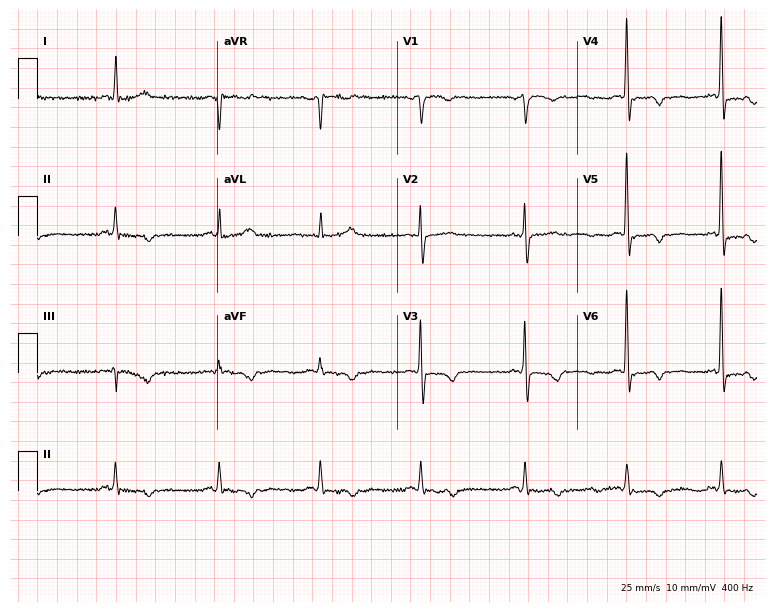
ECG — a woman, 63 years old. Screened for six findings — first-degree AV block, right bundle branch block (RBBB), left bundle branch block (LBBB), sinus bradycardia, atrial fibrillation (AF), sinus tachycardia — none is recorded. Other findings, if any, are not listed.